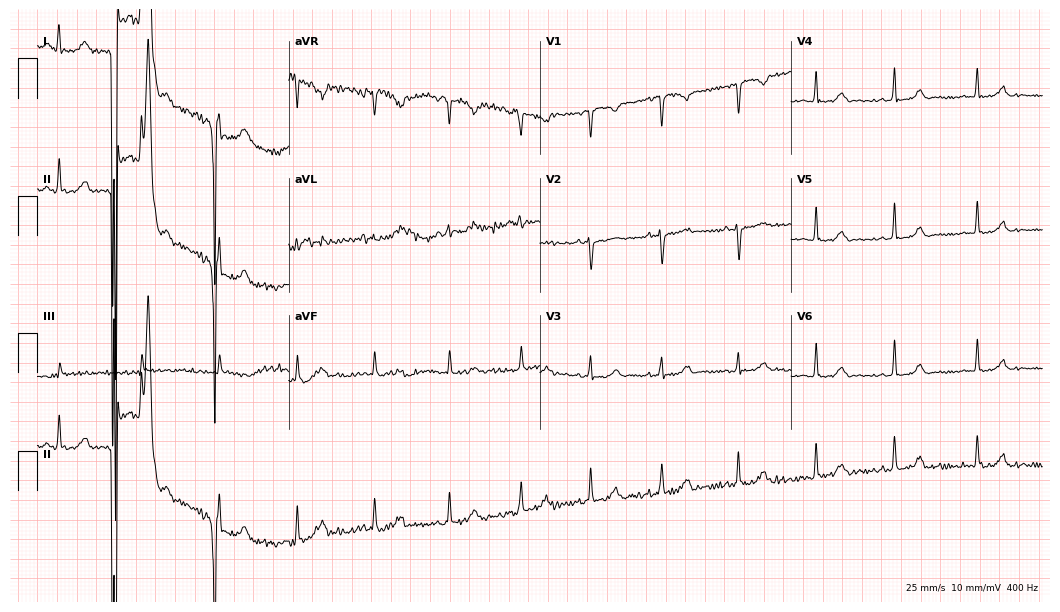
12-lead ECG from a 30-year-old woman. Screened for six findings — first-degree AV block, right bundle branch block, left bundle branch block, sinus bradycardia, atrial fibrillation, sinus tachycardia — none is recorded.